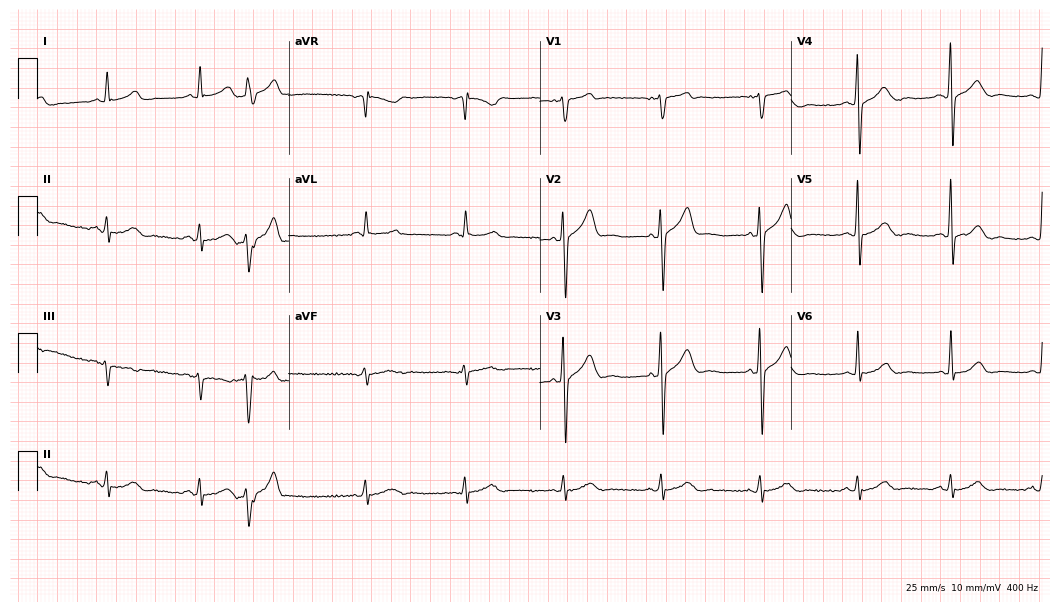
ECG (10.2-second recording at 400 Hz) — a 73-year-old male patient. Screened for six findings — first-degree AV block, right bundle branch block, left bundle branch block, sinus bradycardia, atrial fibrillation, sinus tachycardia — none is recorded.